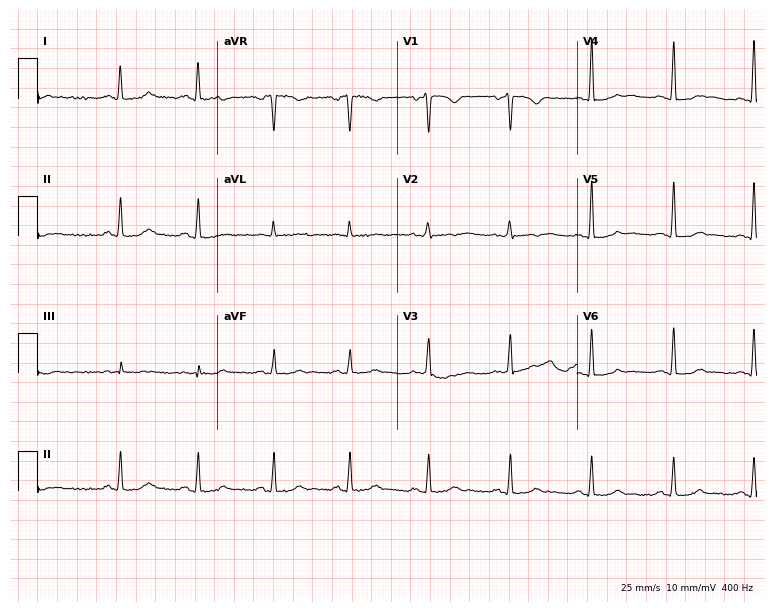
ECG (7.3-second recording at 400 Hz) — a woman, 42 years old. Screened for six findings — first-degree AV block, right bundle branch block, left bundle branch block, sinus bradycardia, atrial fibrillation, sinus tachycardia — none is recorded. Only these six findings were labelled.